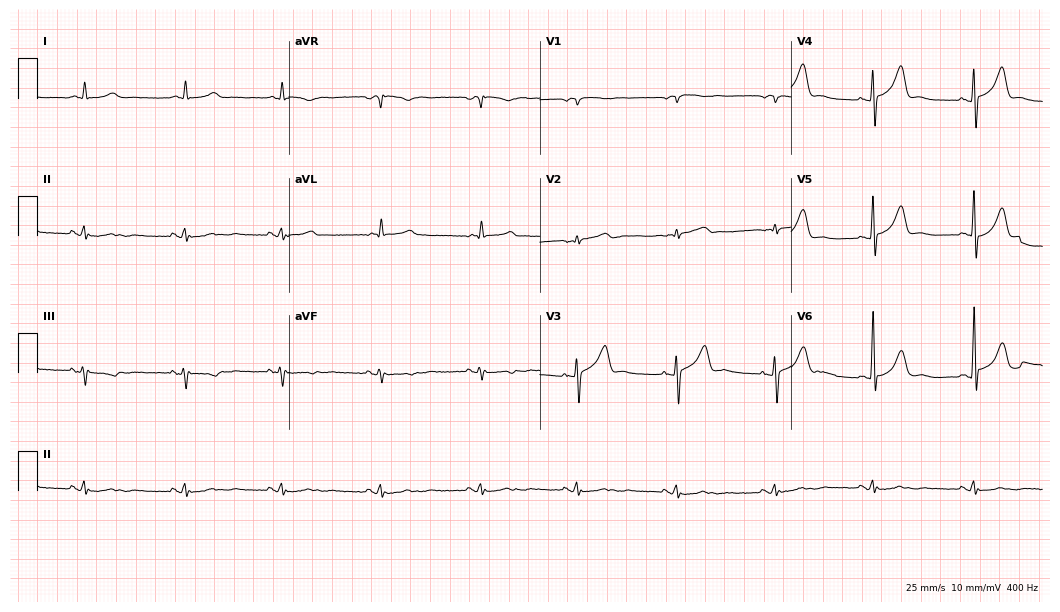
Electrocardiogram (10.2-second recording at 400 Hz), a male, 72 years old. Overall reading on record: normal ECG.